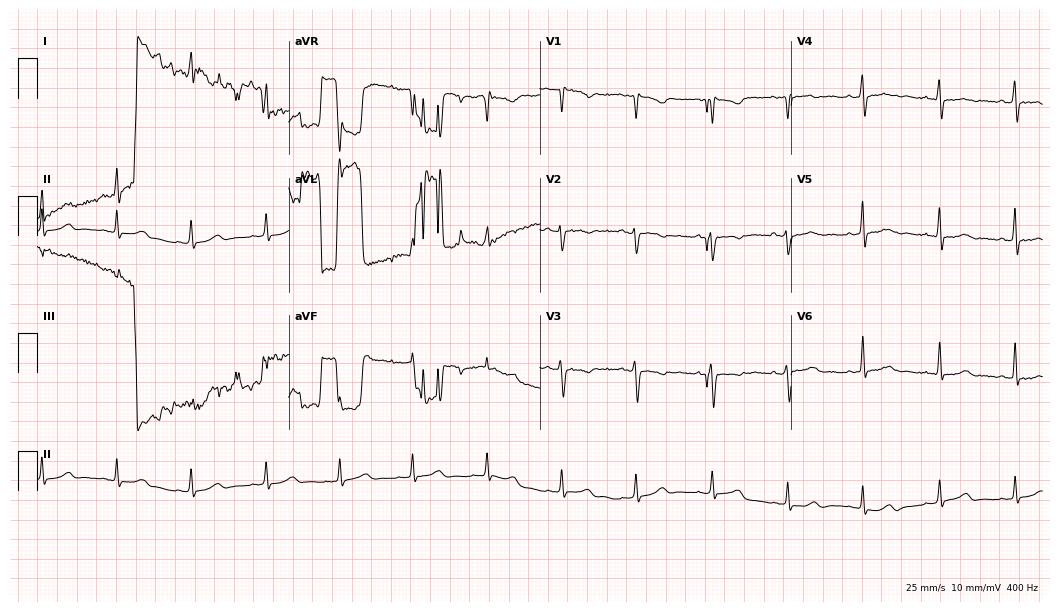
Resting 12-lead electrocardiogram (10.2-second recording at 400 Hz). Patient: a 36-year-old woman. None of these six findings is recorded: first-degree AV block, right bundle branch block, left bundle branch block, sinus bradycardia, atrial fibrillation, sinus tachycardia. Only these six findings were labelled.